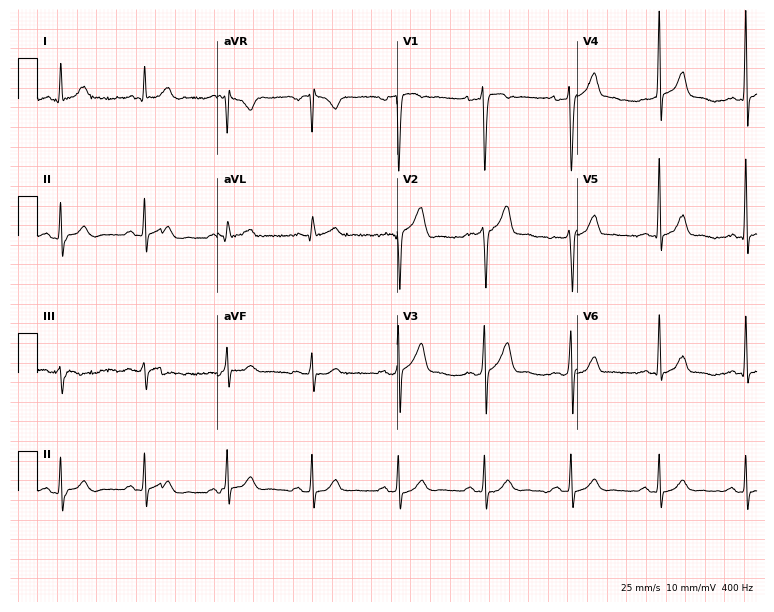
ECG — a male patient, 45 years old. Labelled as a normal ECG.